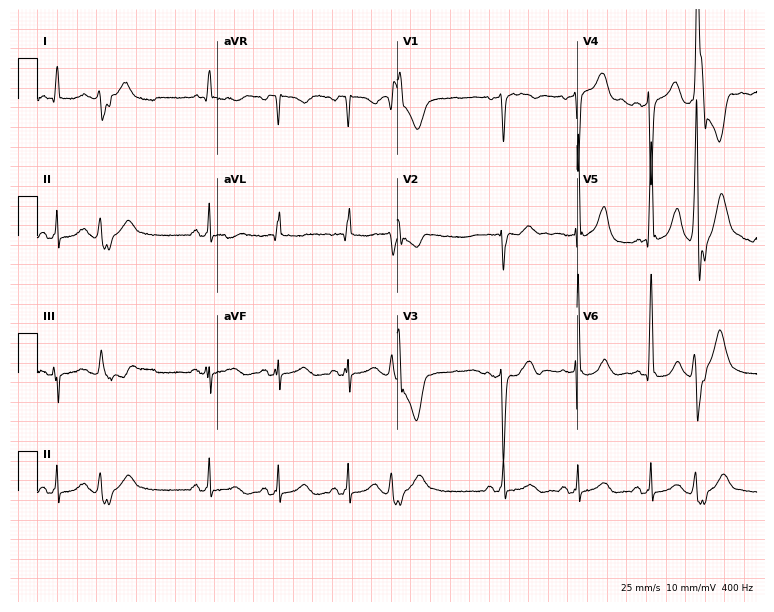
Electrocardiogram, a 76-year-old male. Of the six screened findings (first-degree AV block, right bundle branch block, left bundle branch block, sinus bradycardia, atrial fibrillation, sinus tachycardia), none is recorded.